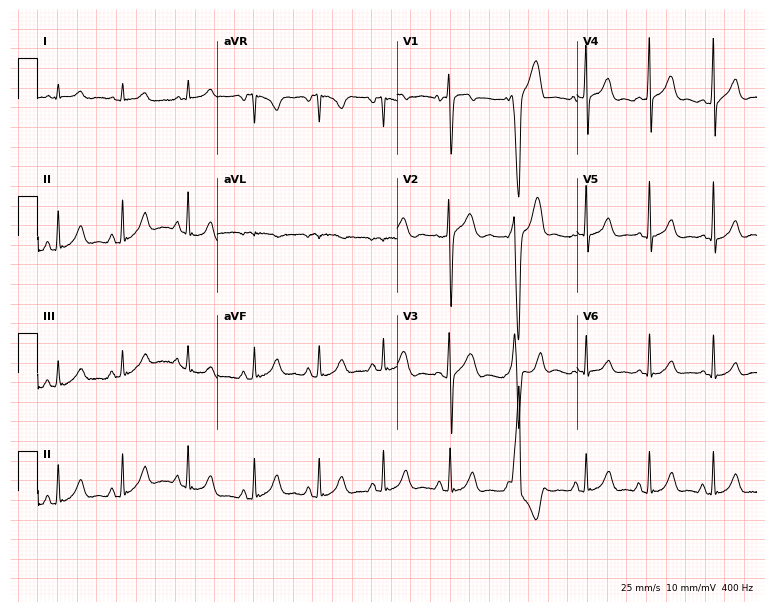
12-lead ECG from a male patient, 17 years old. Labelled as a normal ECG.